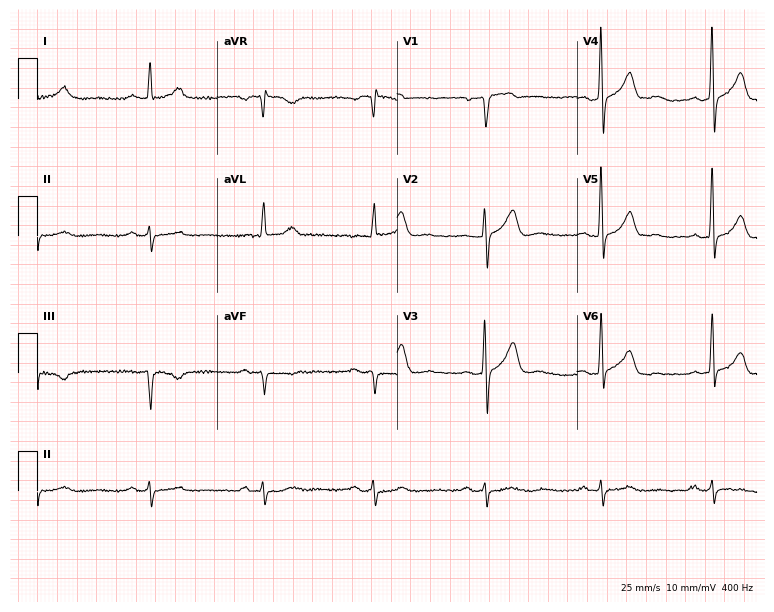
Electrocardiogram (7.3-second recording at 400 Hz), a male, 65 years old. Overall reading on record: normal ECG.